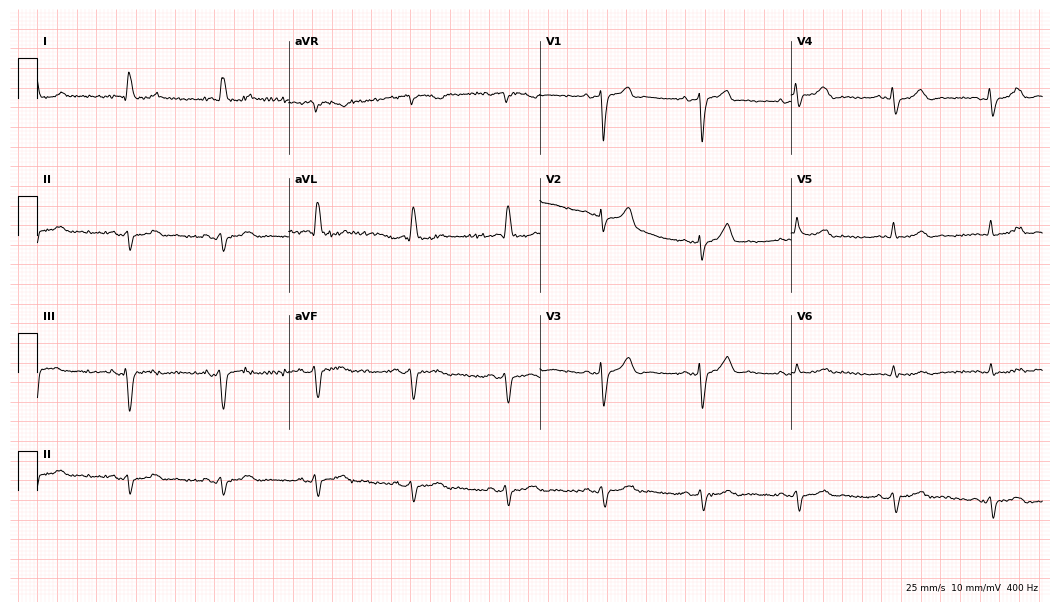
Resting 12-lead electrocardiogram. Patient: an 84-year-old female. None of these six findings is recorded: first-degree AV block, right bundle branch block, left bundle branch block, sinus bradycardia, atrial fibrillation, sinus tachycardia. Findings outside these six are not listed.